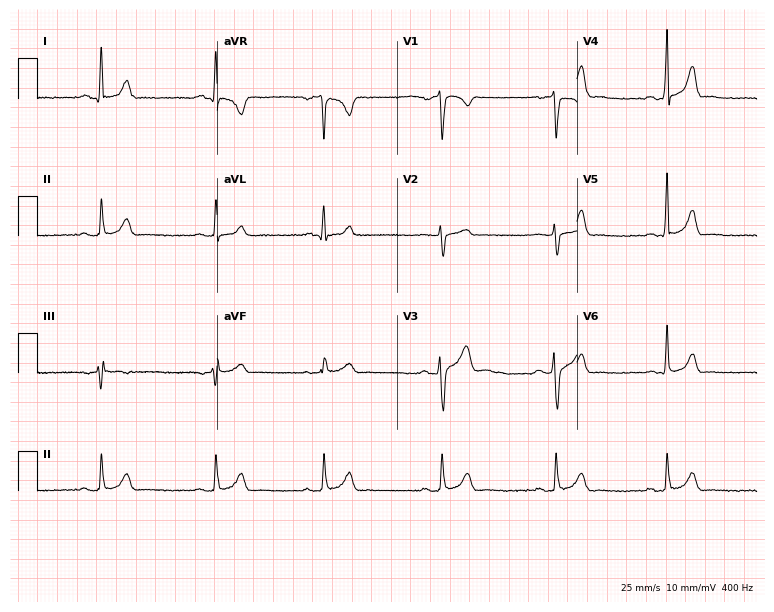
12-lead ECG from a 29-year-old male patient. Labelled as a normal ECG.